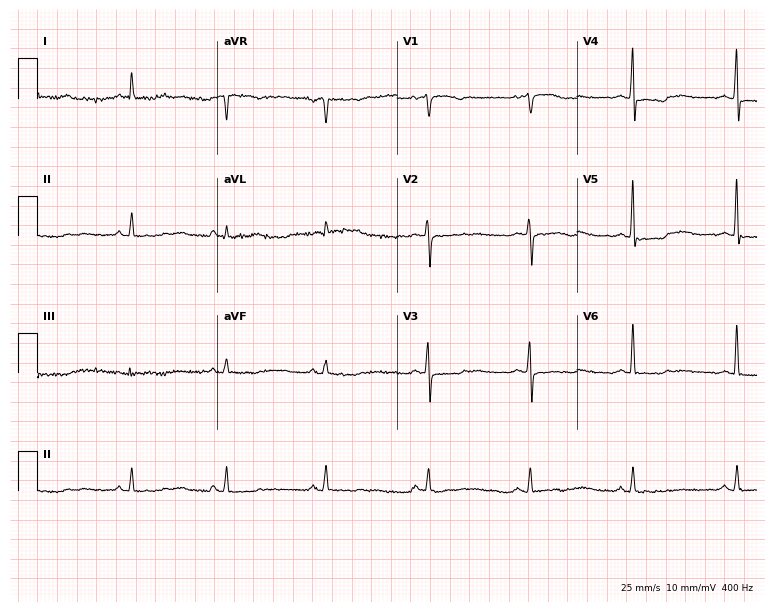
Electrocardiogram (7.3-second recording at 400 Hz), a female patient, 54 years old. Of the six screened findings (first-degree AV block, right bundle branch block, left bundle branch block, sinus bradycardia, atrial fibrillation, sinus tachycardia), none is recorded.